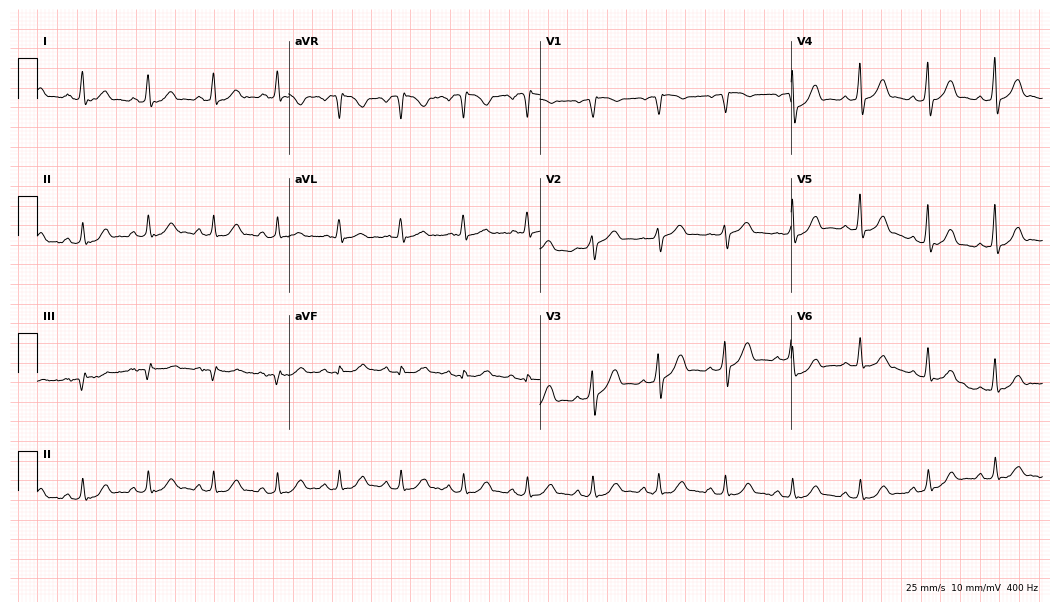
Standard 12-lead ECG recorded from a 59-year-old male. Read as a normal ECG.